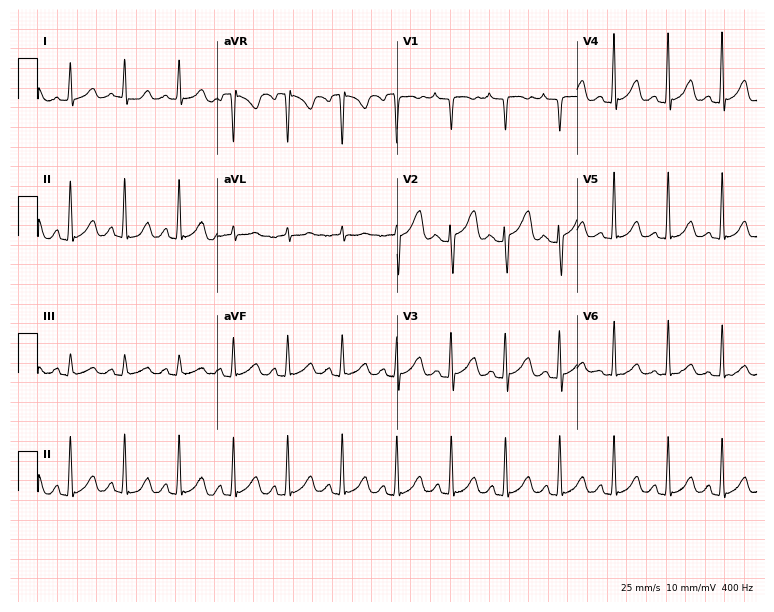
12-lead ECG from a female, 36 years old (7.3-second recording at 400 Hz). Shows sinus tachycardia (a sinus rate of 100 beats per minute or more).